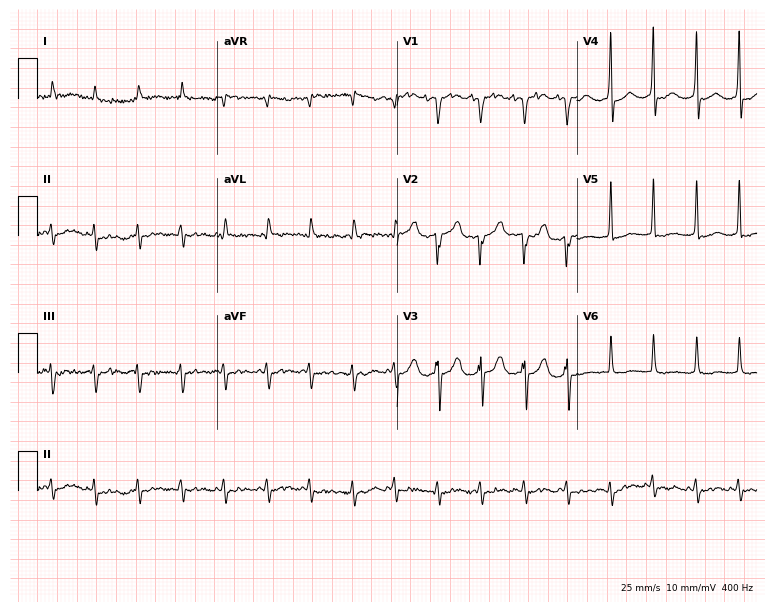
Resting 12-lead electrocardiogram. Patient: a man, 83 years old. The tracing shows sinus tachycardia (a sinus rate of 100 beats per minute or more).